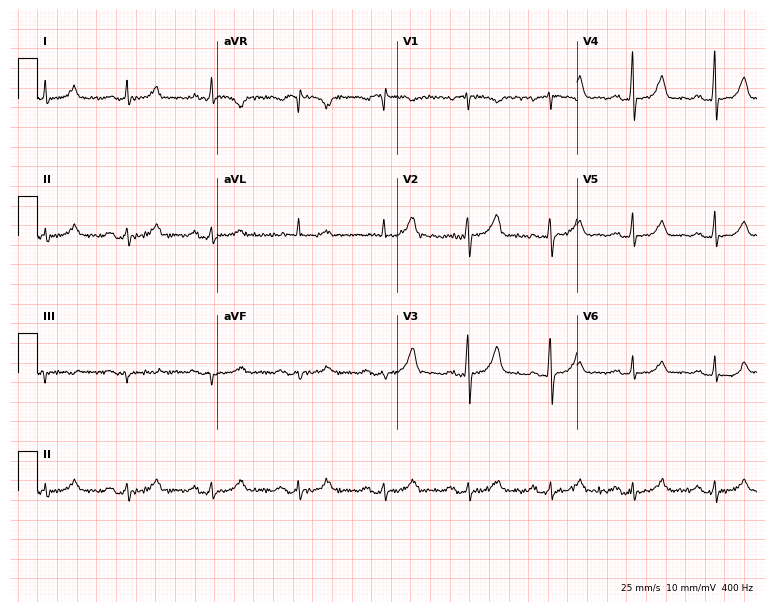
ECG (7.3-second recording at 400 Hz) — a 61-year-old female. Labelled as a normal ECG.